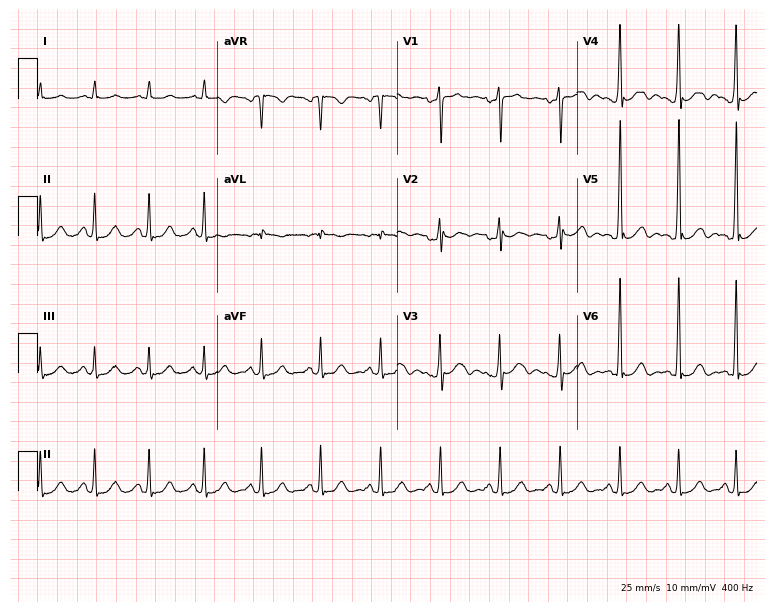
Standard 12-lead ECG recorded from a male patient, 37 years old (7.3-second recording at 400 Hz). None of these six findings is recorded: first-degree AV block, right bundle branch block (RBBB), left bundle branch block (LBBB), sinus bradycardia, atrial fibrillation (AF), sinus tachycardia. Only these six findings were labelled.